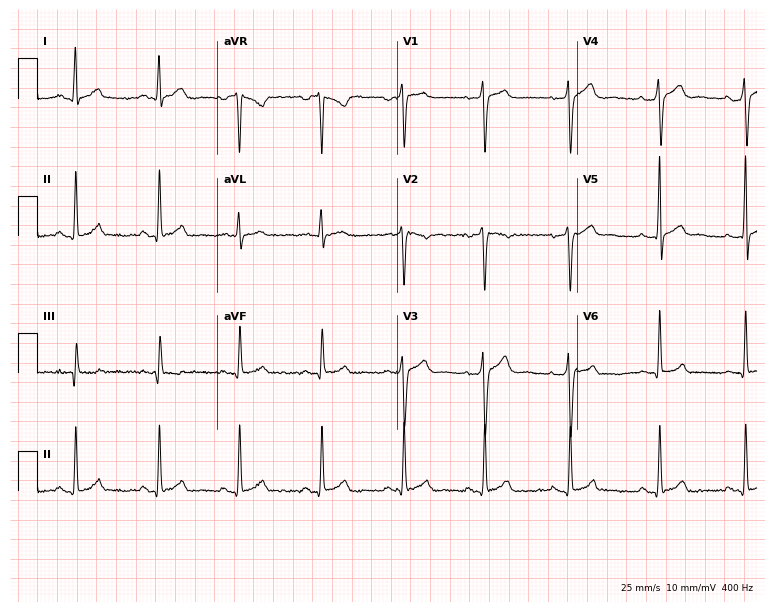
12-lead ECG from a 26-year-old male patient (7.3-second recording at 400 Hz). Recorded interpretation: within normal limits.